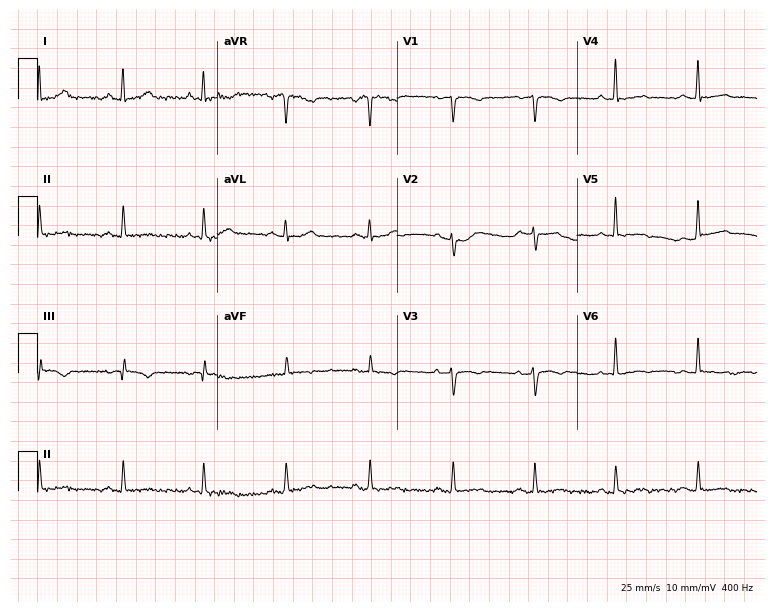
12-lead ECG from a 42-year-old female patient. Screened for six findings — first-degree AV block, right bundle branch block, left bundle branch block, sinus bradycardia, atrial fibrillation, sinus tachycardia — none is recorded. Findings outside these six are not listed.